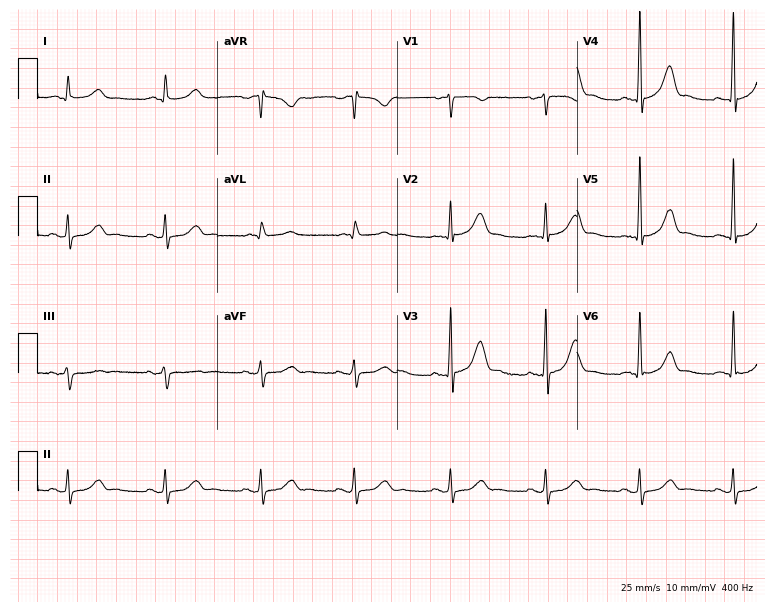
12-lead ECG from a 61-year-old female patient. Labelled as a normal ECG.